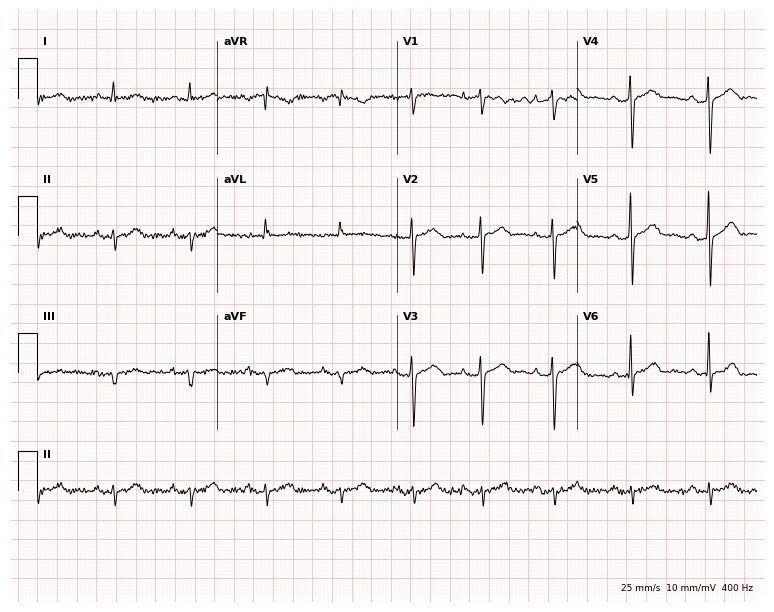
12-lead ECG from a male patient, 60 years old. Screened for six findings — first-degree AV block, right bundle branch block, left bundle branch block, sinus bradycardia, atrial fibrillation, sinus tachycardia — none is recorded. Only these six findings were labelled.